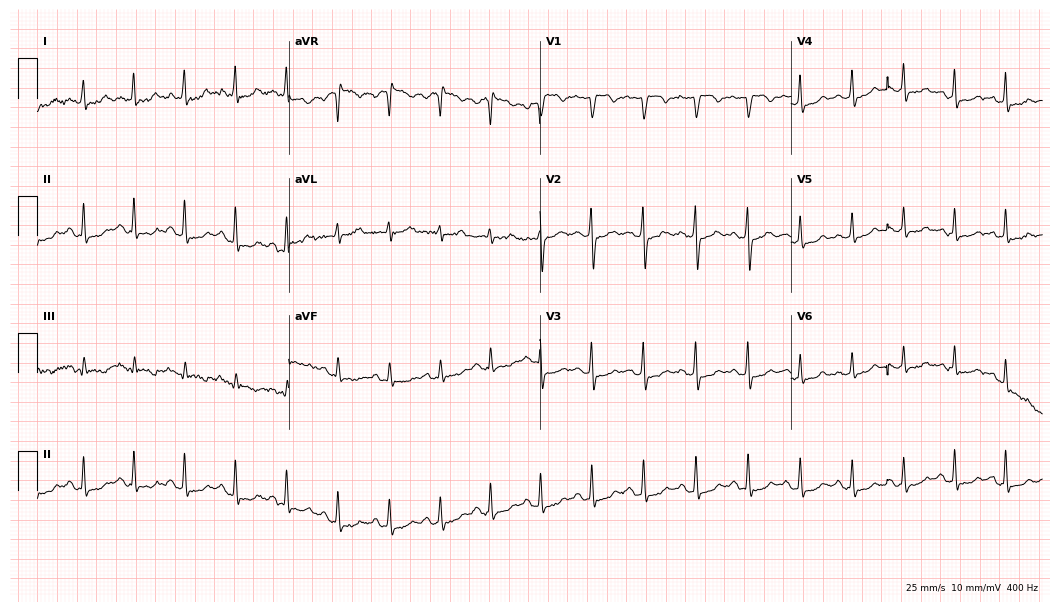
Resting 12-lead electrocardiogram (10.2-second recording at 400 Hz). Patient: a man, 32 years old. None of these six findings is recorded: first-degree AV block, right bundle branch block, left bundle branch block, sinus bradycardia, atrial fibrillation, sinus tachycardia.